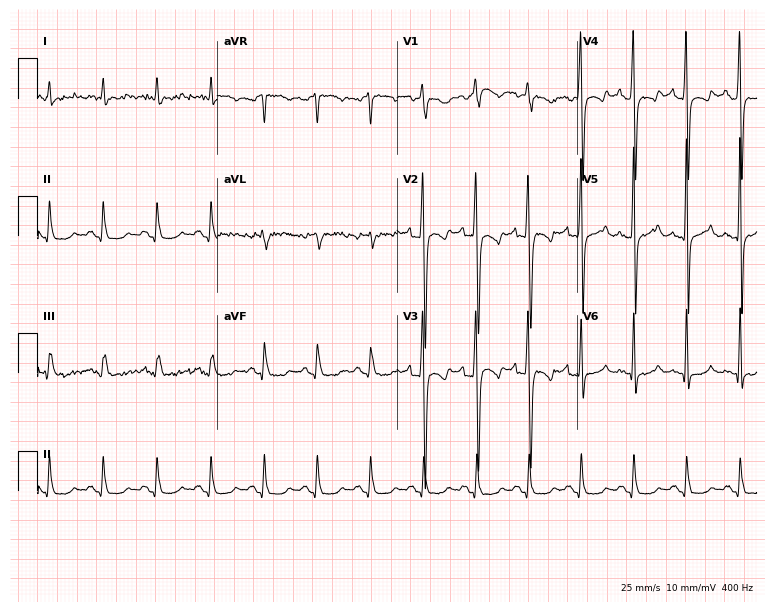
Electrocardiogram (7.3-second recording at 400 Hz), a male, 48 years old. Interpretation includes sinus tachycardia (a sinus rate of 100 beats per minute or more).